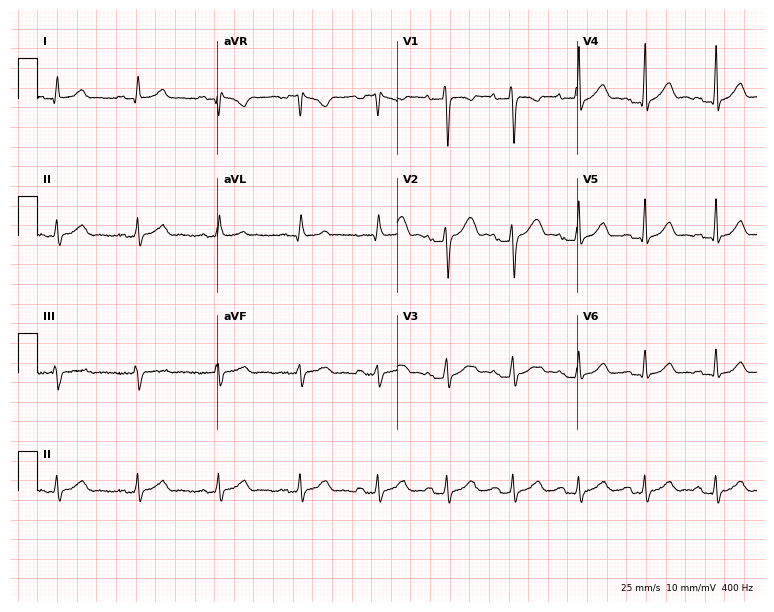
ECG (7.3-second recording at 400 Hz) — a female, 31 years old. Screened for six findings — first-degree AV block, right bundle branch block (RBBB), left bundle branch block (LBBB), sinus bradycardia, atrial fibrillation (AF), sinus tachycardia — none is recorded. Findings outside these six are not listed.